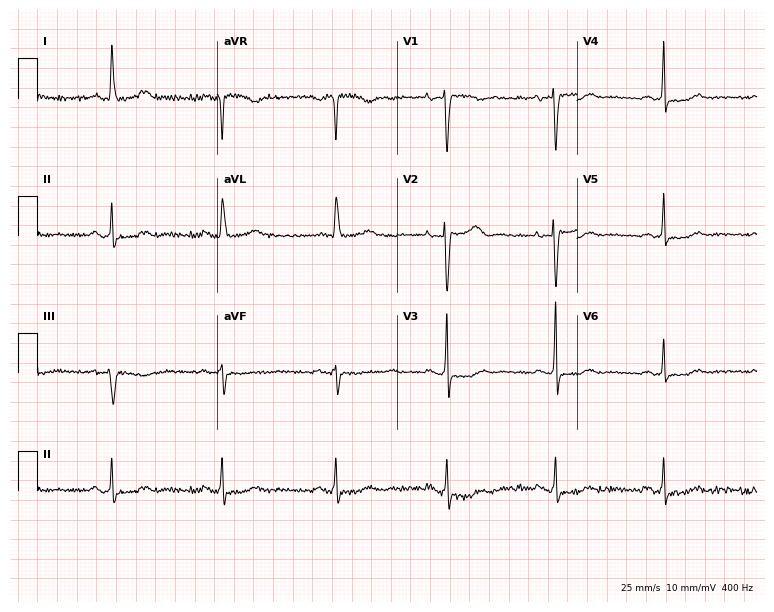
Resting 12-lead electrocardiogram. Patient: a 60-year-old woman. None of these six findings is recorded: first-degree AV block, right bundle branch block, left bundle branch block, sinus bradycardia, atrial fibrillation, sinus tachycardia. Only these six findings were labelled.